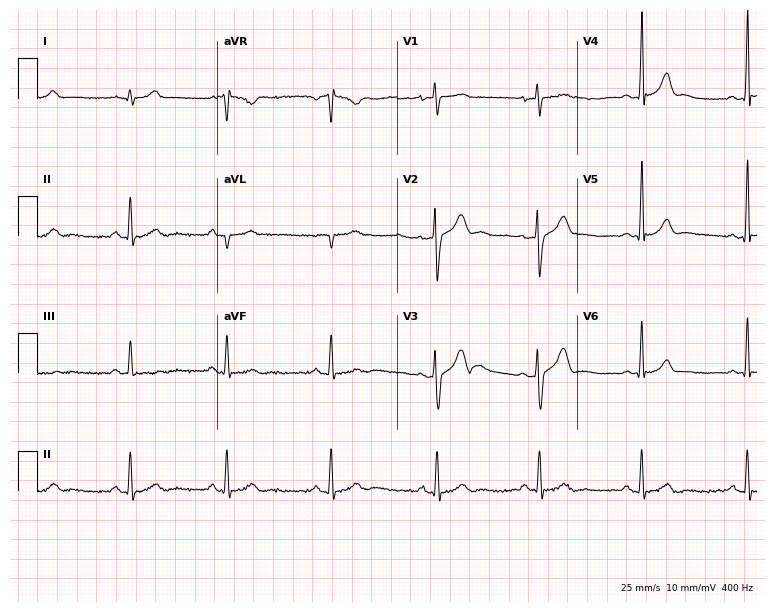
Electrocardiogram, a male, 39 years old. Overall reading on record: normal ECG.